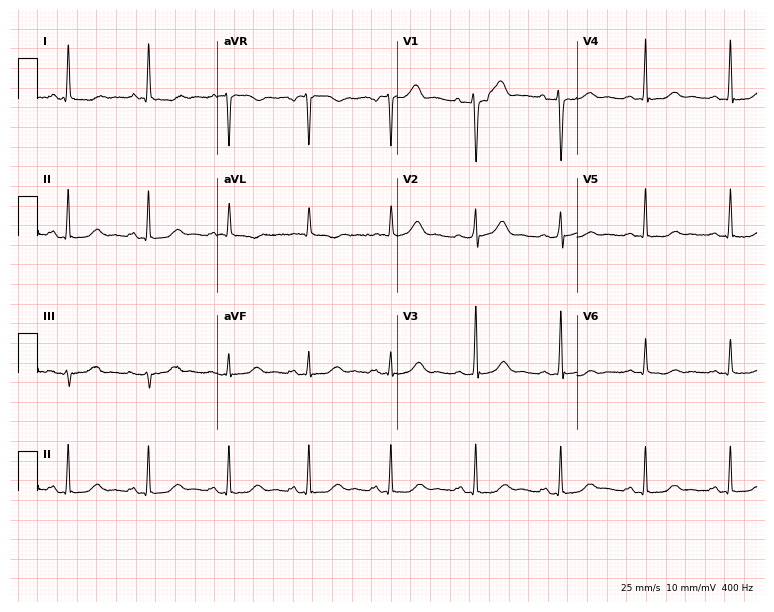
12-lead ECG from a 71-year-old woman (7.3-second recording at 400 Hz). No first-degree AV block, right bundle branch block (RBBB), left bundle branch block (LBBB), sinus bradycardia, atrial fibrillation (AF) or sinus tachycardia recorded for this tracing. Findings outside these six are not listed.